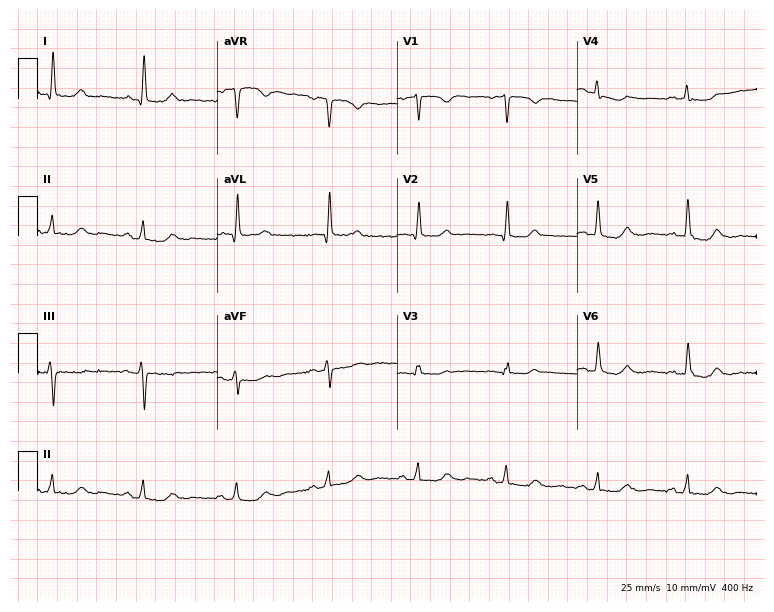
Standard 12-lead ECG recorded from an 83-year-old woman. None of these six findings is recorded: first-degree AV block, right bundle branch block (RBBB), left bundle branch block (LBBB), sinus bradycardia, atrial fibrillation (AF), sinus tachycardia.